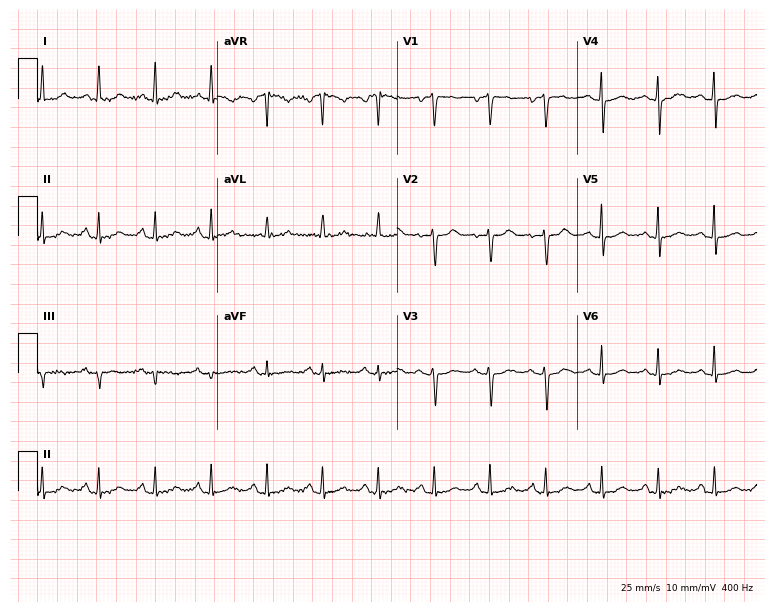
Standard 12-lead ECG recorded from a male patient, 62 years old (7.3-second recording at 400 Hz). None of these six findings is recorded: first-degree AV block, right bundle branch block, left bundle branch block, sinus bradycardia, atrial fibrillation, sinus tachycardia. Only these six findings were labelled.